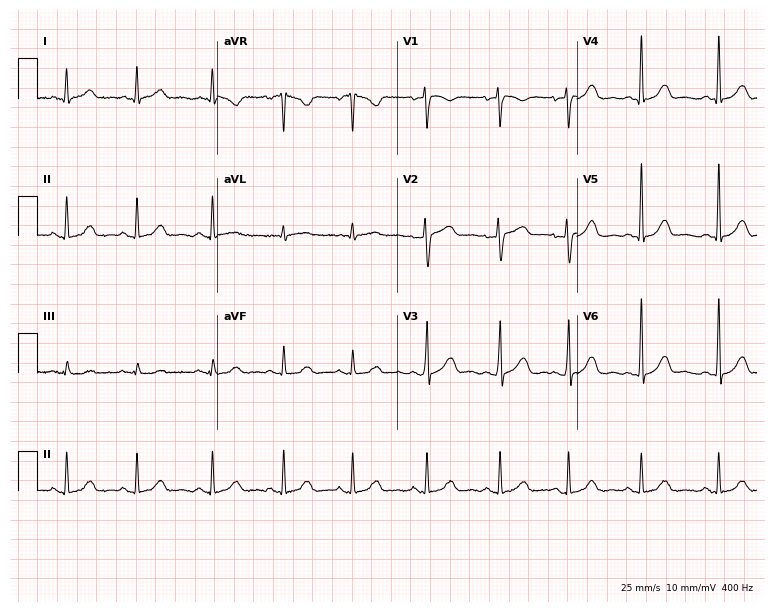
12-lead ECG from a 39-year-old female patient. Recorded interpretation: within normal limits.